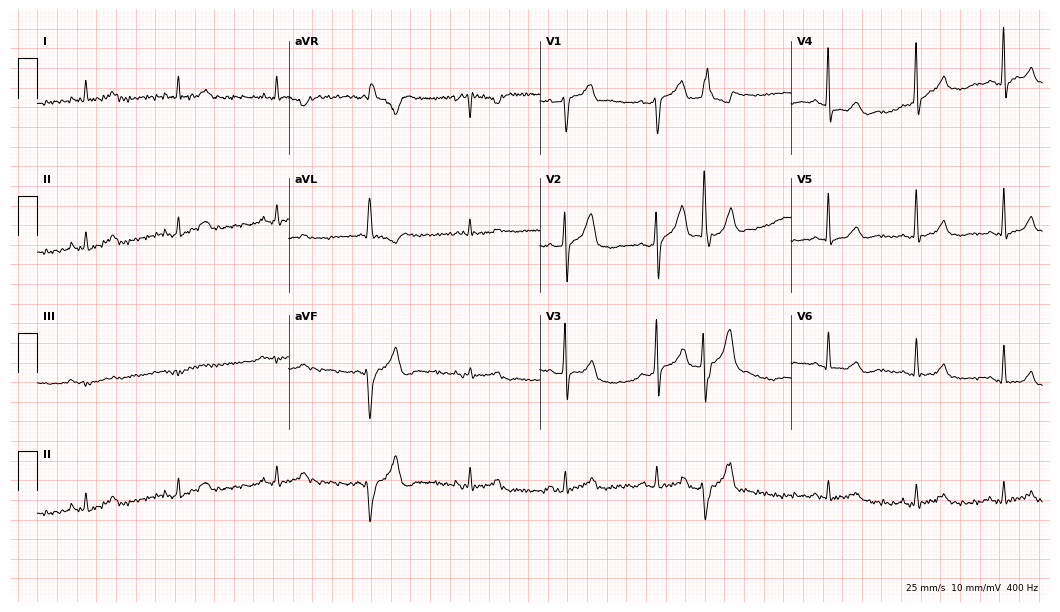
Resting 12-lead electrocardiogram (10.2-second recording at 400 Hz). Patient: a 53-year-old male. None of these six findings is recorded: first-degree AV block, right bundle branch block, left bundle branch block, sinus bradycardia, atrial fibrillation, sinus tachycardia. Findings outside these six are not listed.